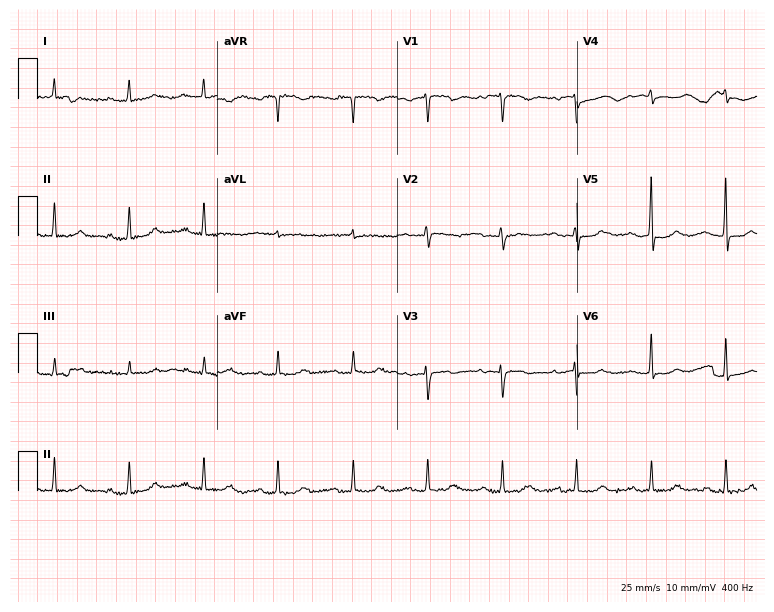
Electrocardiogram (7.3-second recording at 400 Hz), a woman, 60 years old. Of the six screened findings (first-degree AV block, right bundle branch block, left bundle branch block, sinus bradycardia, atrial fibrillation, sinus tachycardia), none is recorded.